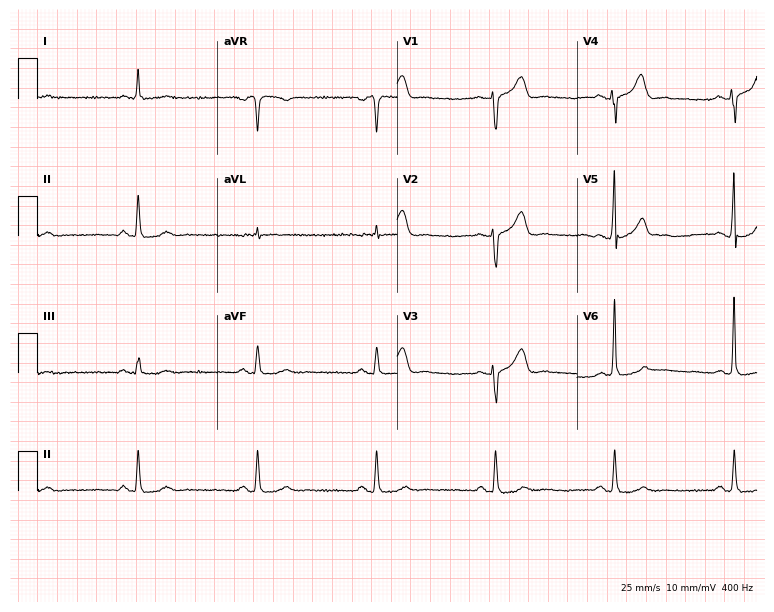
12-lead ECG from a man, 62 years old. Shows sinus bradycardia (a sinus rate of 50 beats per minute or less).